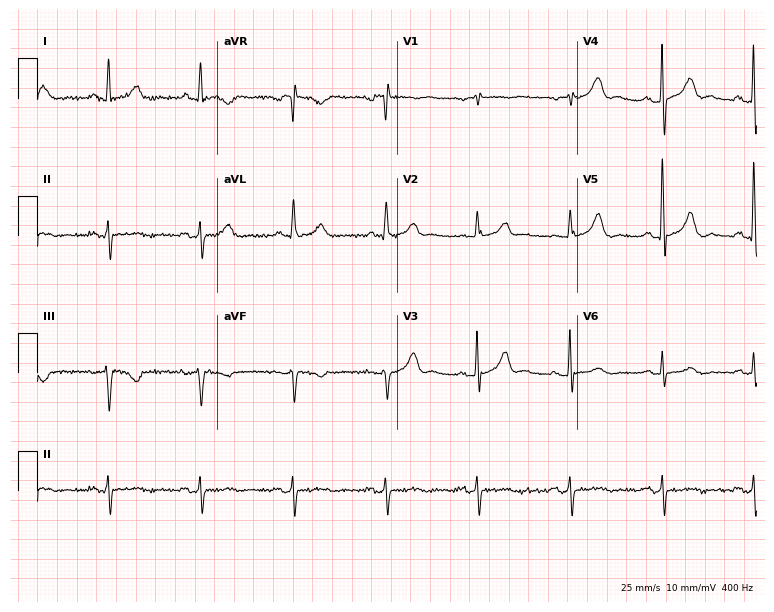
Standard 12-lead ECG recorded from a female patient, 75 years old (7.3-second recording at 400 Hz). None of these six findings is recorded: first-degree AV block, right bundle branch block, left bundle branch block, sinus bradycardia, atrial fibrillation, sinus tachycardia. Other findings, if any, are not listed.